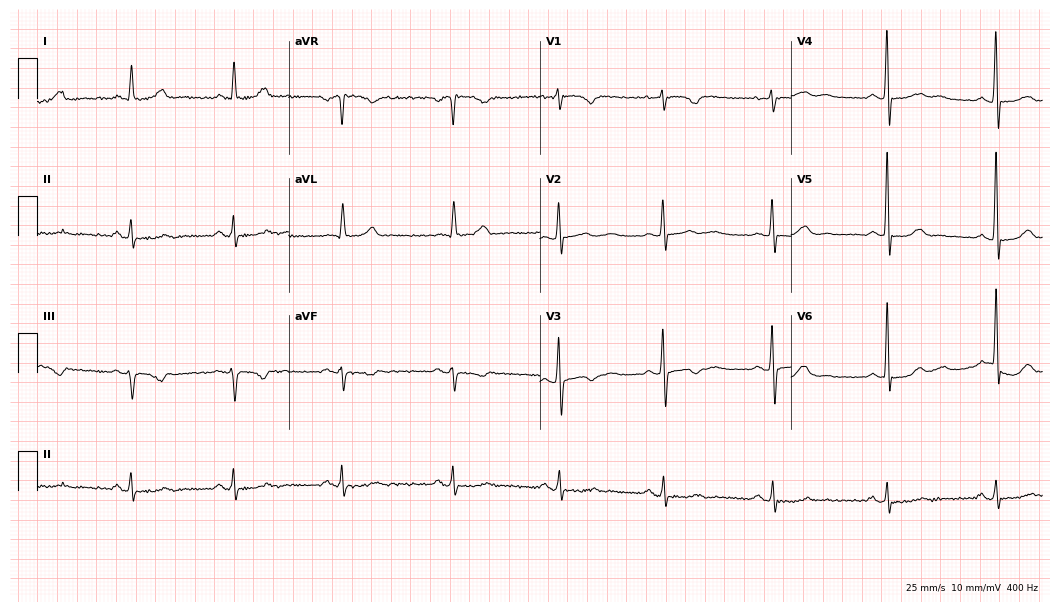
Resting 12-lead electrocardiogram. Patient: a female, 56 years old. Read as a normal ECG.